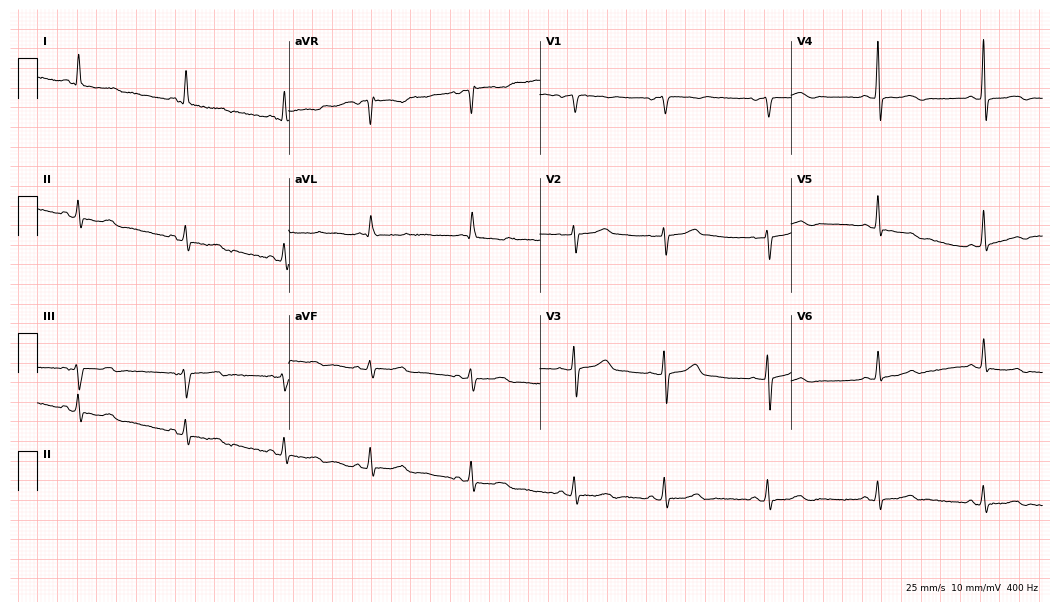
12-lead ECG from a female, 59 years old (10.2-second recording at 400 Hz). No first-degree AV block, right bundle branch block, left bundle branch block, sinus bradycardia, atrial fibrillation or sinus tachycardia recorded for this tracing. Findings outside these six are not listed.